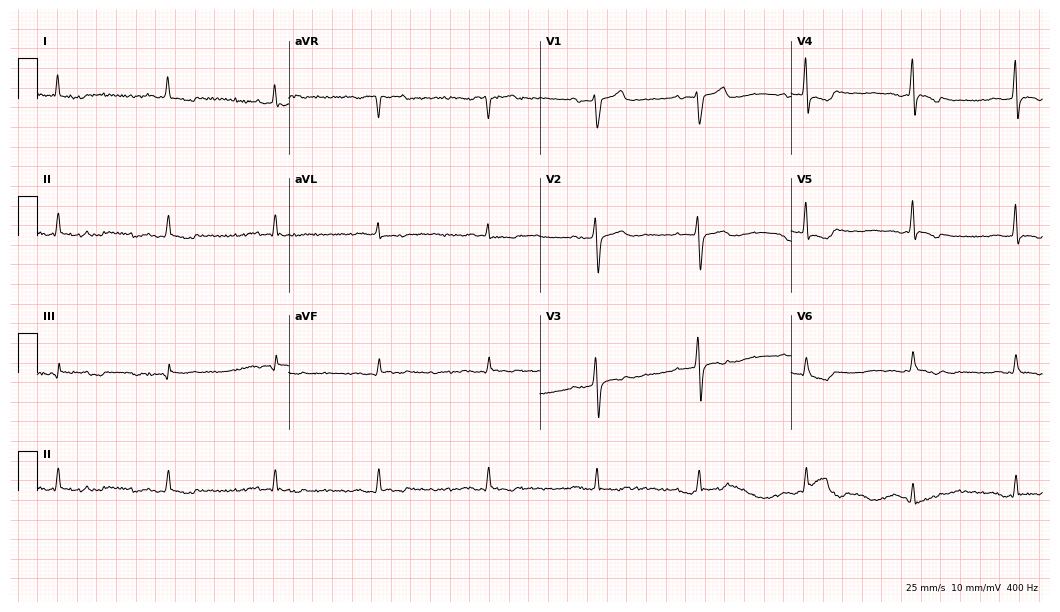
Resting 12-lead electrocardiogram (10.2-second recording at 400 Hz). Patient: a man, 55 years old. None of these six findings is recorded: first-degree AV block, right bundle branch block, left bundle branch block, sinus bradycardia, atrial fibrillation, sinus tachycardia. Findings outside these six are not listed.